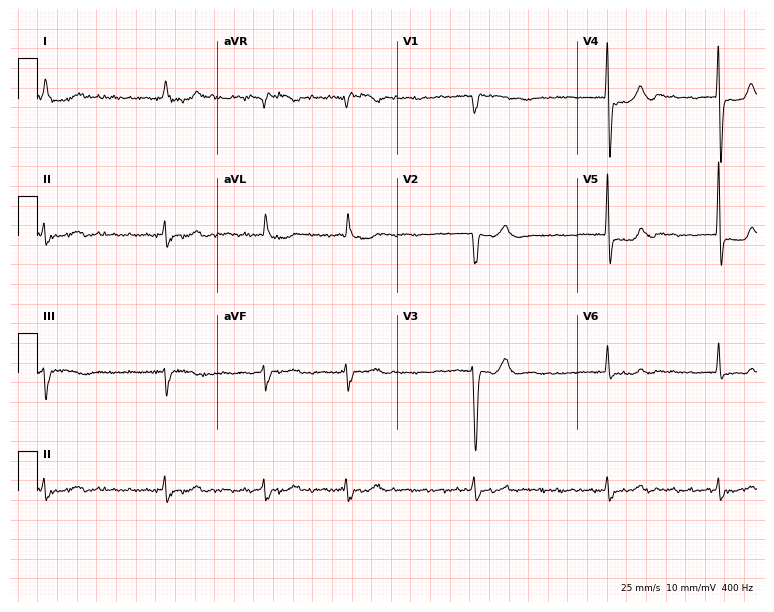
Resting 12-lead electrocardiogram (7.3-second recording at 400 Hz). Patient: a 78-year-old man. The tracing shows atrial fibrillation.